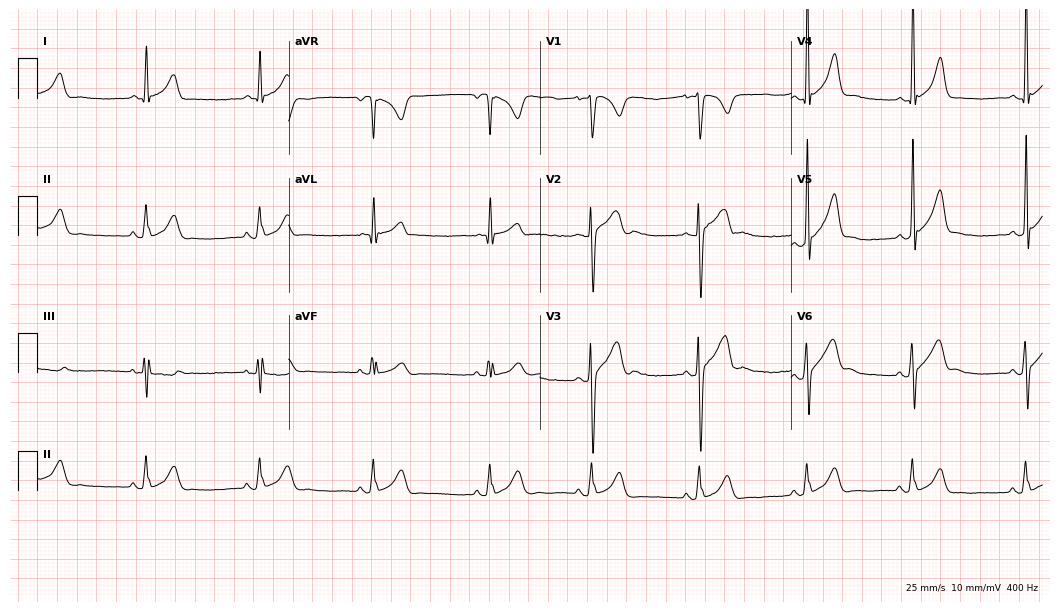
Resting 12-lead electrocardiogram (10.2-second recording at 400 Hz). Patient: a male, 35 years old. None of these six findings is recorded: first-degree AV block, right bundle branch block, left bundle branch block, sinus bradycardia, atrial fibrillation, sinus tachycardia. Findings outside these six are not listed.